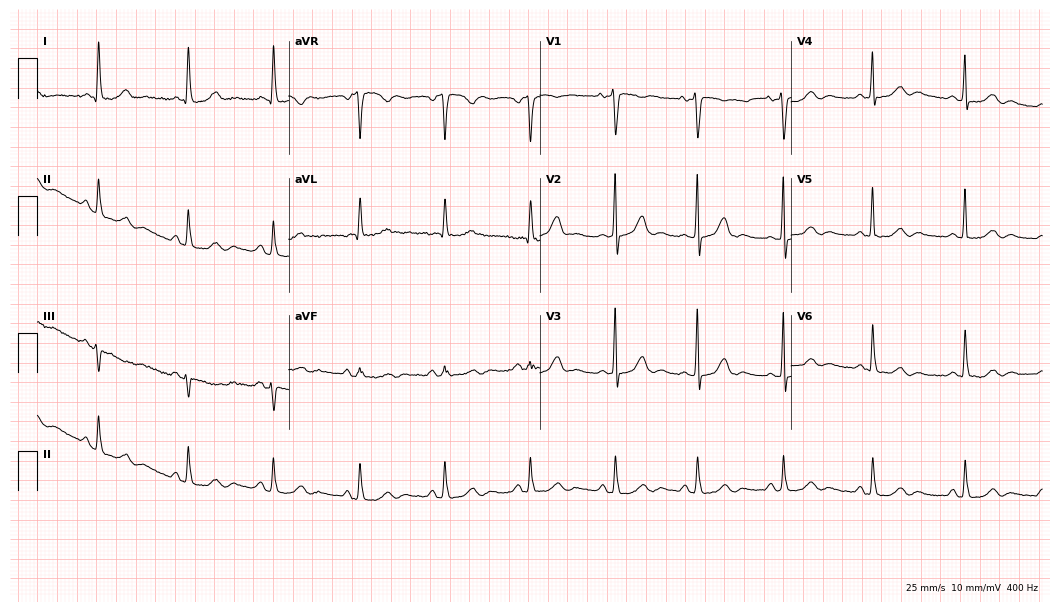
Resting 12-lead electrocardiogram (10.2-second recording at 400 Hz). Patient: a 69-year-old woman. None of these six findings is recorded: first-degree AV block, right bundle branch block, left bundle branch block, sinus bradycardia, atrial fibrillation, sinus tachycardia.